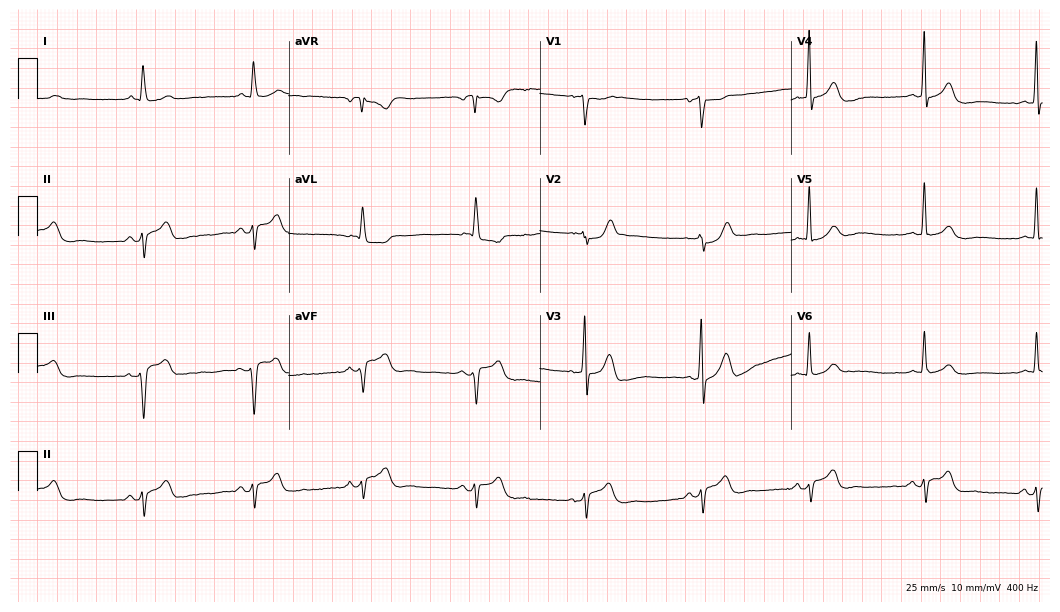
Standard 12-lead ECG recorded from a male, 66 years old (10.2-second recording at 400 Hz). None of these six findings is recorded: first-degree AV block, right bundle branch block (RBBB), left bundle branch block (LBBB), sinus bradycardia, atrial fibrillation (AF), sinus tachycardia. Findings outside these six are not listed.